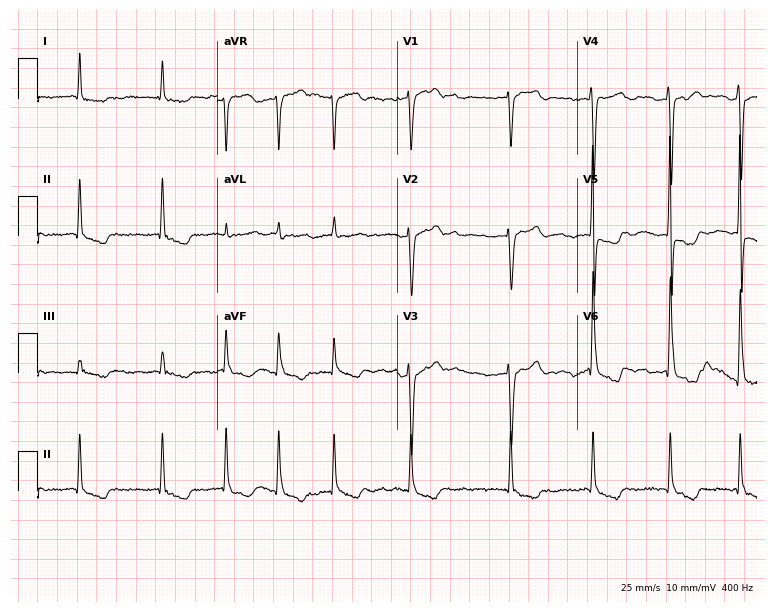
12-lead ECG from a female patient, 86 years old. Findings include atrial fibrillation.